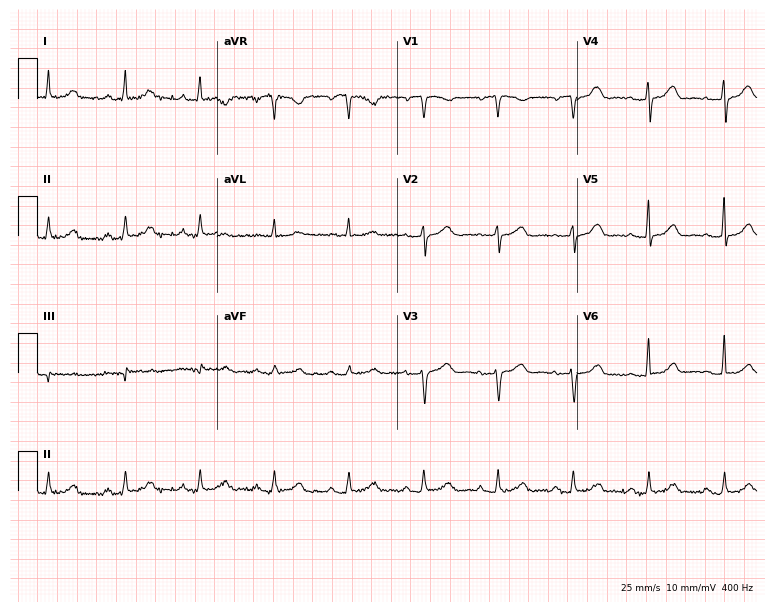
ECG (7.3-second recording at 400 Hz) — a female, 60 years old. Labelled as a normal ECG.